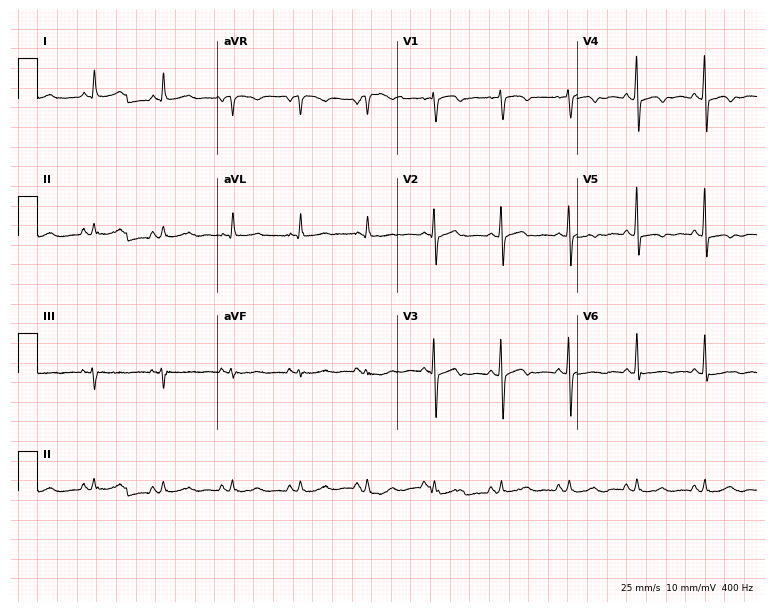
12-lead ECG (7.3-second recording at 400 Hz) from a woman, 45 years old. Screened for six findings — first-degree AV block, right bundle branch block, left bundle branch block, sinus bradycardia, atrial fibrillation, sinus tachycardia — none is recorded. Findings outside these six are not listed.